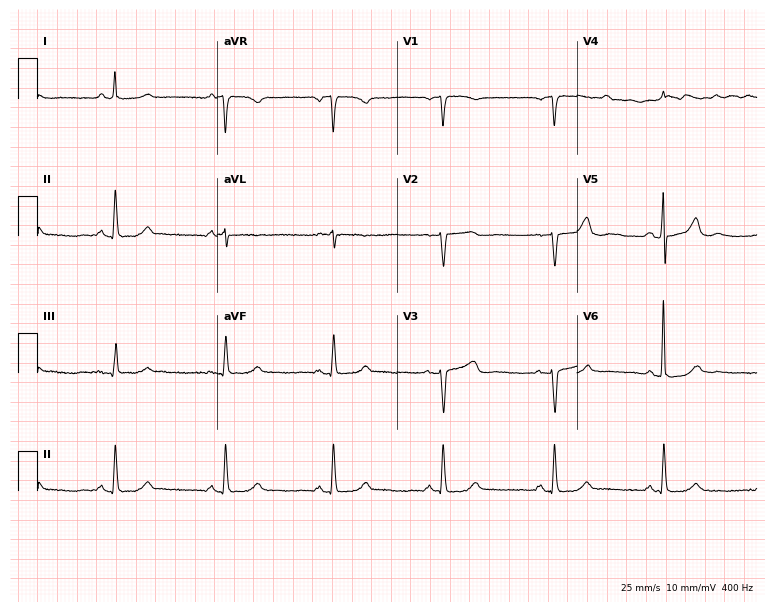
12-lead ECG (7.3-second recording at 400 Hz) from a 74-year-old female. Screened for six findings — first-degree AV block, right bundle branch block (RBBB), left bundle branch block (LBBB), sinus bradycardia, atrial fibrillation (AF), sinus tachycardia — none is recorded. Other findings, if any, are not listed.